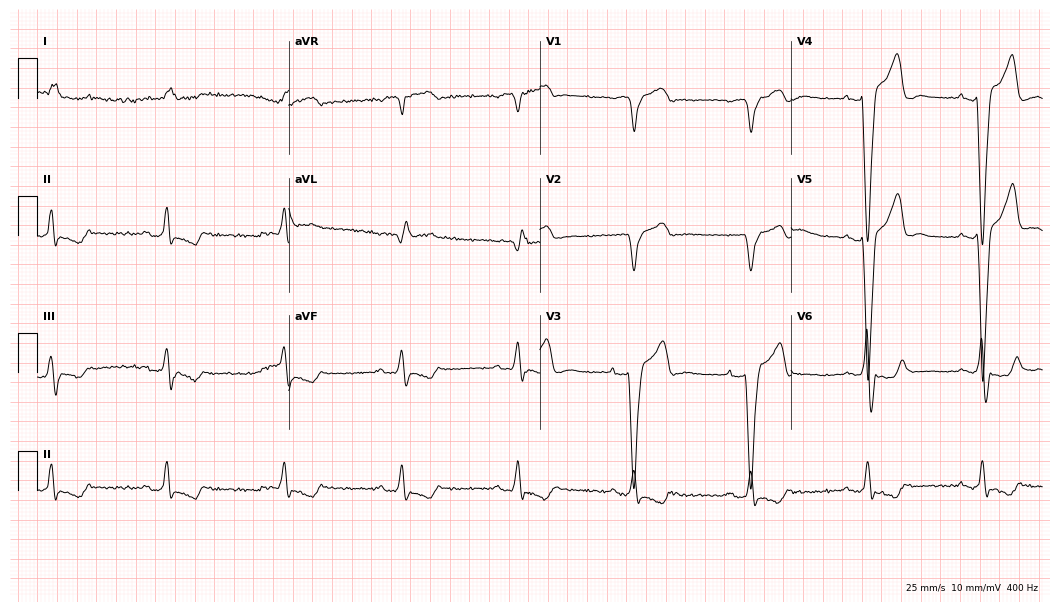
12-lead ECG from a male, 70 years old. Shows left bundle branch block (LBBB).